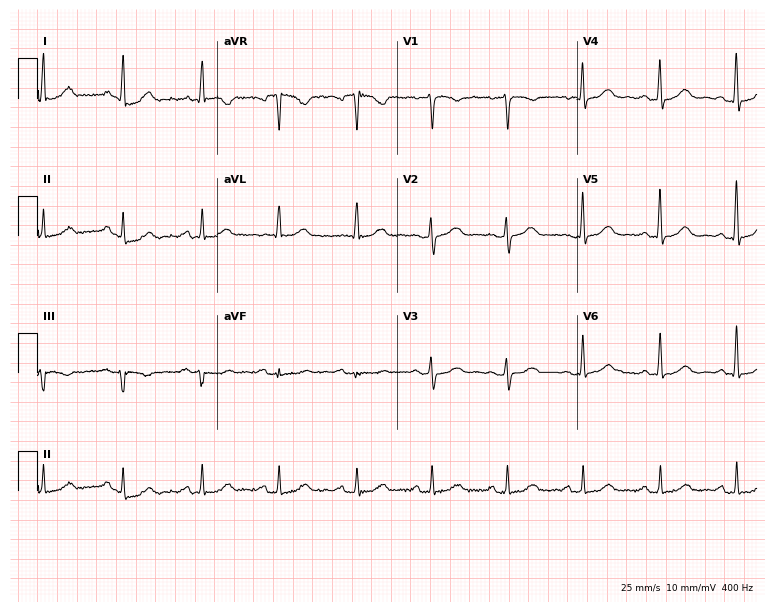
Resting 12-lead electrocardiogram. Patient: a 52-year-old female. Read as a normal ECG.